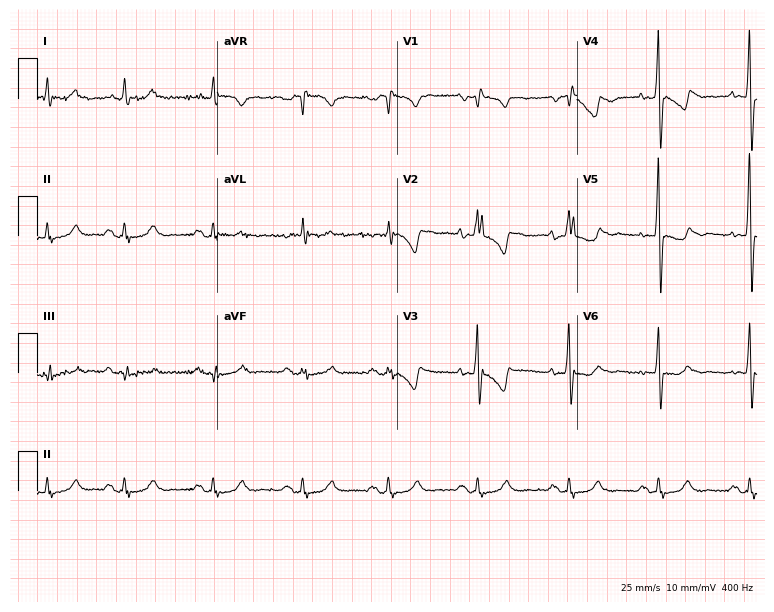
Standard 12-lead ECG recorded from a 53-year-old male (7.3-second recording at 400 Hz). None of these six findings is recorded: first-degree AV block, right bundle branch block, left bundle branch block, sinus bradycardia, atrial fibrillation, sinus tachycardia.